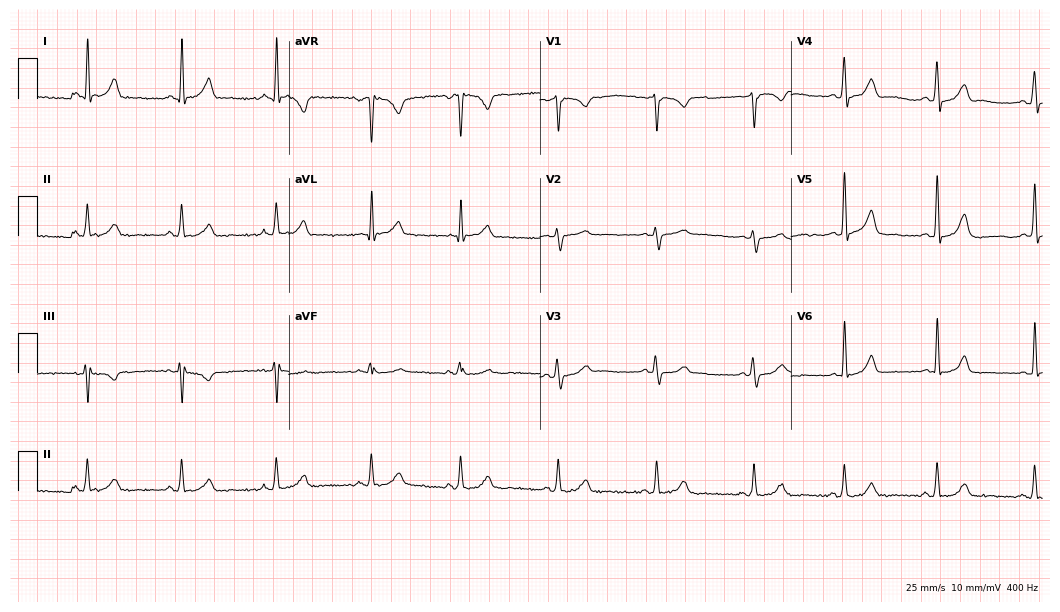
ECG — a female patient, 43 years old. Labelled as a normal ECG.